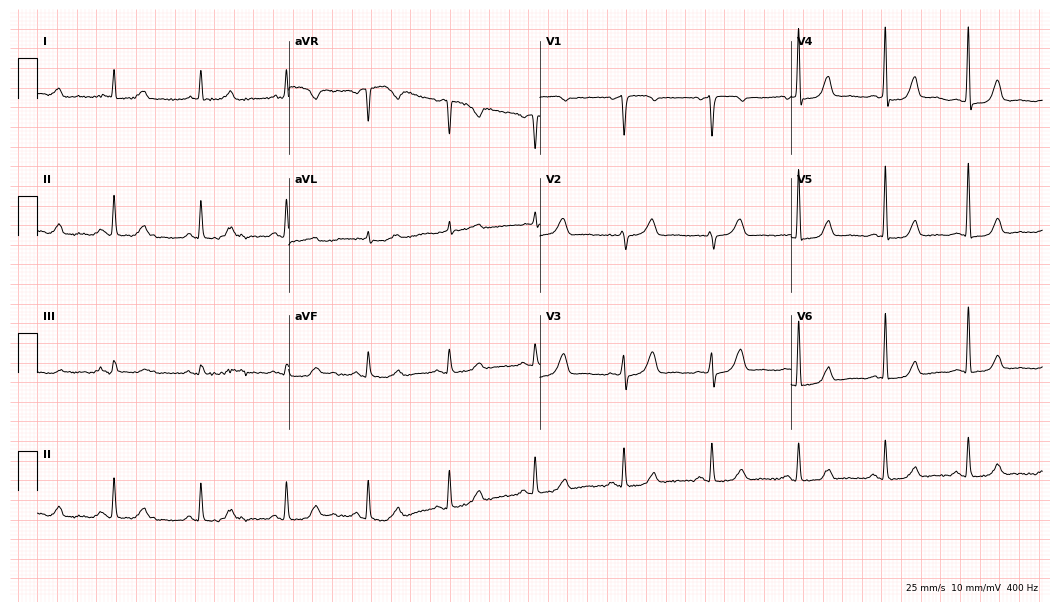
12-lead ECG from a female, 49 years old. Screened for six findings — first-degree AV block, right bundle branch block, left bundle branch block, sinus bradycardia, atrial fibrillation, sinus tachycardia — none is recorded.